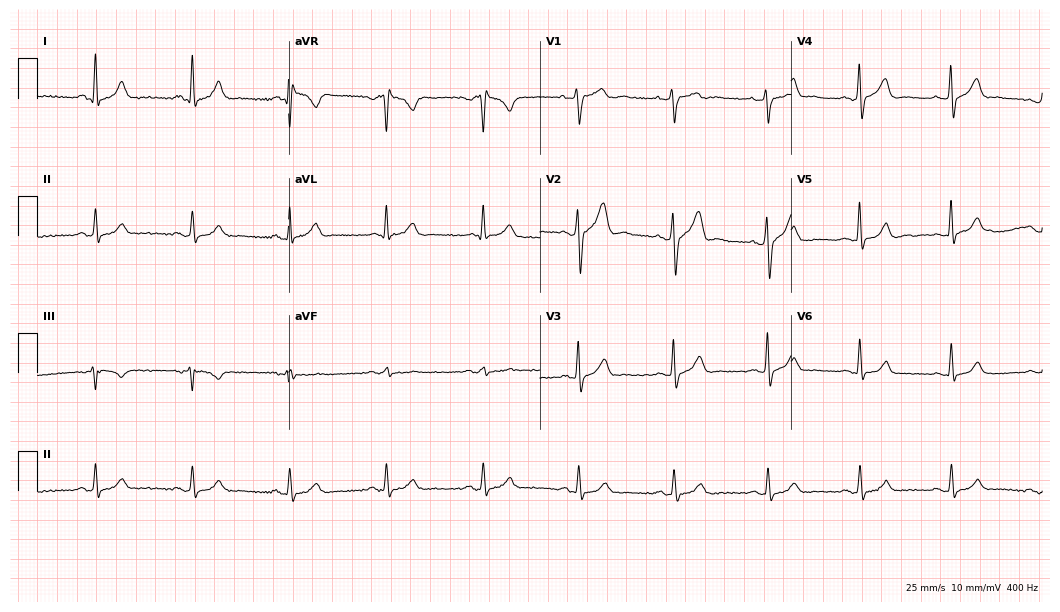
ECG (10.2-second recording at 400 Hz) — a male, 73 years old. Screened for six findings — first-degree AV block, right bundle branch block (RBBB), left bundle branch block (LBBB), sinus bradycardia, atrial fibrillation (AF), sinus tachycardia — none is recorded. Only these six findings were labelled.